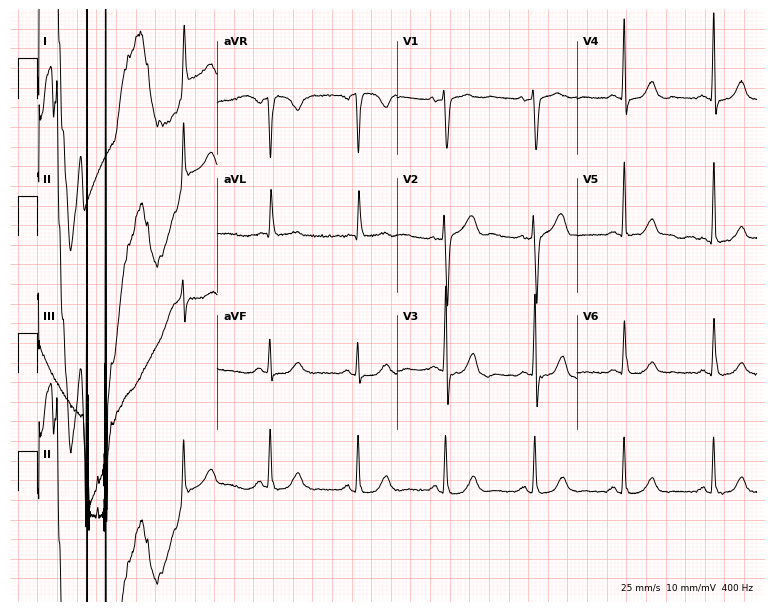
12-lead ECG (7.3-second recording at 400 Hz) from a female patient, 83 years old. Screened for six findings — first-degree AV block, right bundle branch block, left bundle branch block, sinus bradycardia, atrial fibrillation, sinus tachycardia — none is recorded. Only these six findings were labelled.